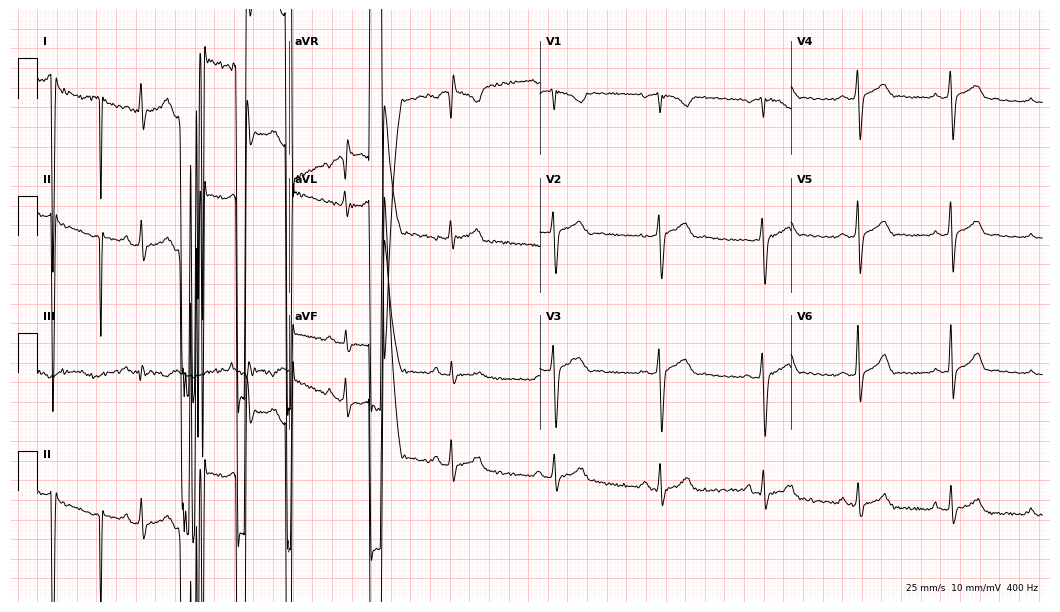
Resting 12-lead electrocardiogram (10.2-second recording at 400 Hz). Patient: a man, 21 years old. None of these six findings is recorded: first-degree AV block, right bundle branch block, left bundle branch block, sinus bradycardia, atrial fibrillation, sinus tachycardia. Only these six findings were labelled.